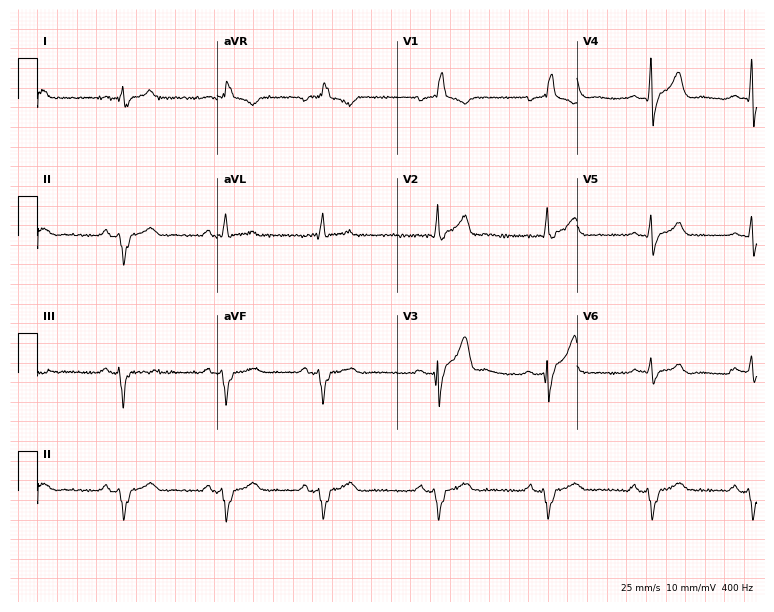
Resting 12-lead electrocardiogram. Patient: a man, 56 years old. The tracing shows right bundle branch block, left bundle branch block.